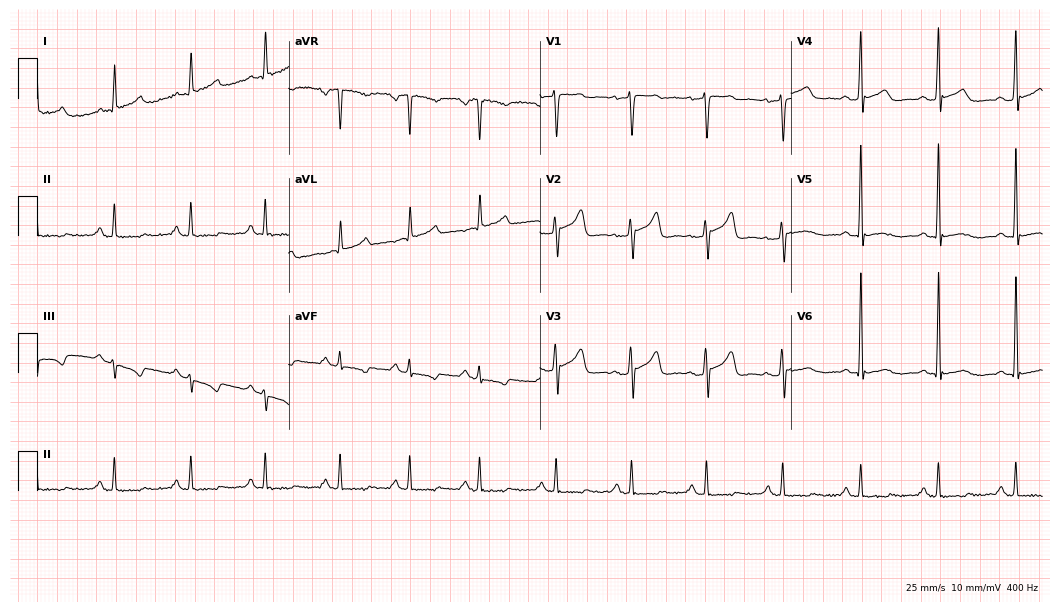
Standard 12-lead ECG recorded from a 48-year-old male. Read as a normal ECG.